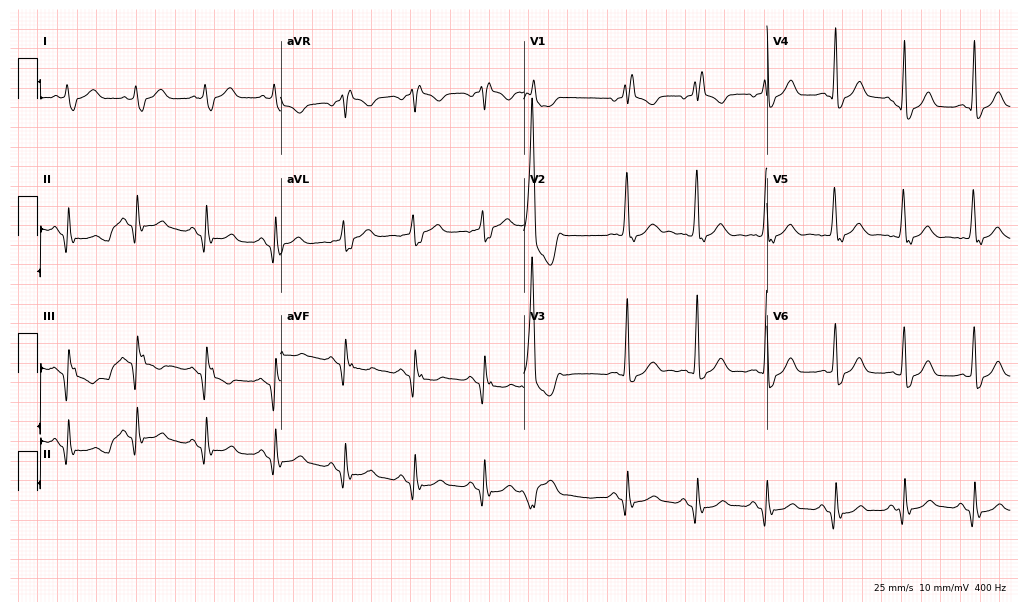
12-lead ECG (9.9-second recording at 400 Hz) from a 66-year-old male patient. Screened for six findings — first-degree AV block, right bundle branch block, left bundle branch block, sinus bradycardia, atrial fibrillation, sinus tachycardia — none is recorded.